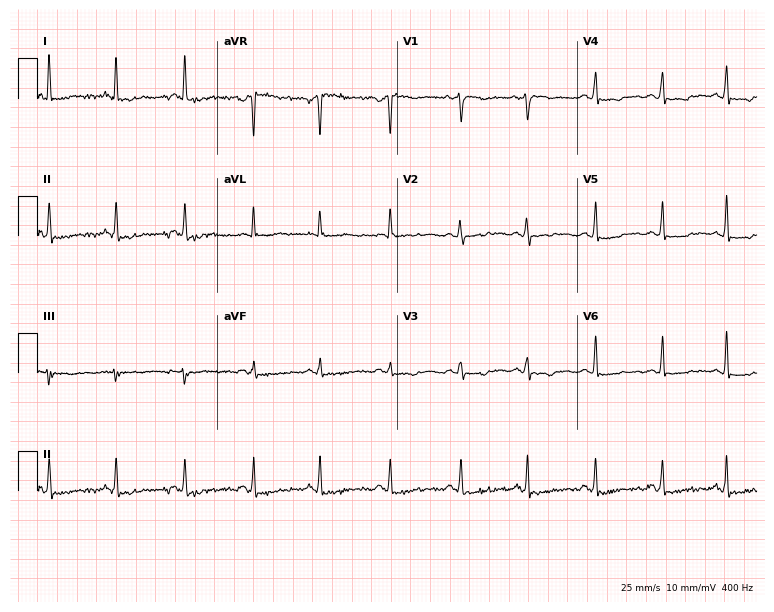
12-lead ECG from a 34-year-old female patient. No first-degree AV block, right bundle branch block, left bundle branch block, sinus bradycardia, atrial fibrillation or sinus tachycardia recorded for this tracing.